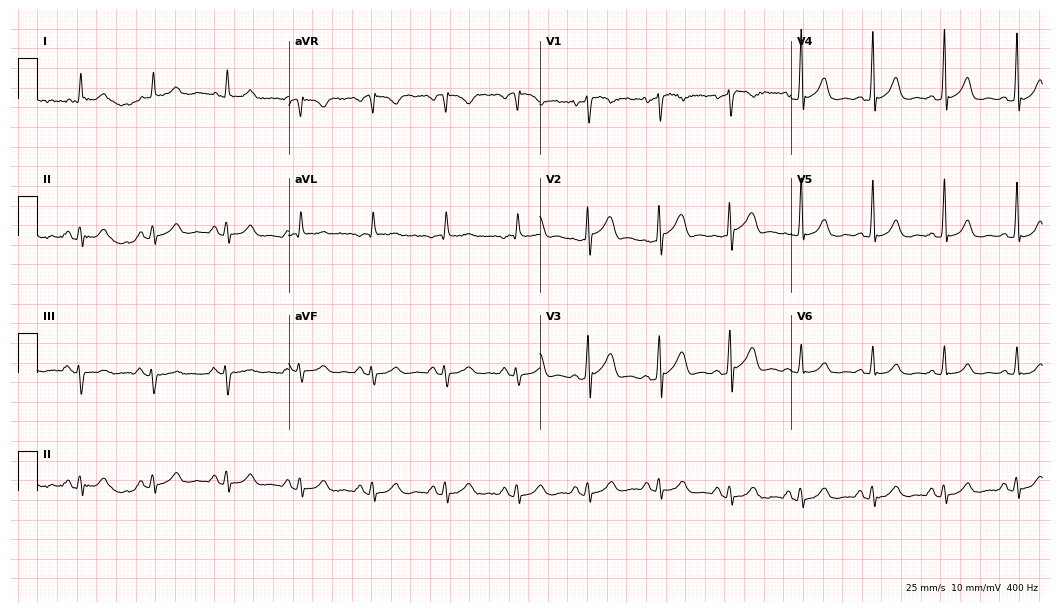
12-lead ECG from a male patient, 71 years old (10.2-second recording at 400 Hz). Recorded interpretation: within normal limits.